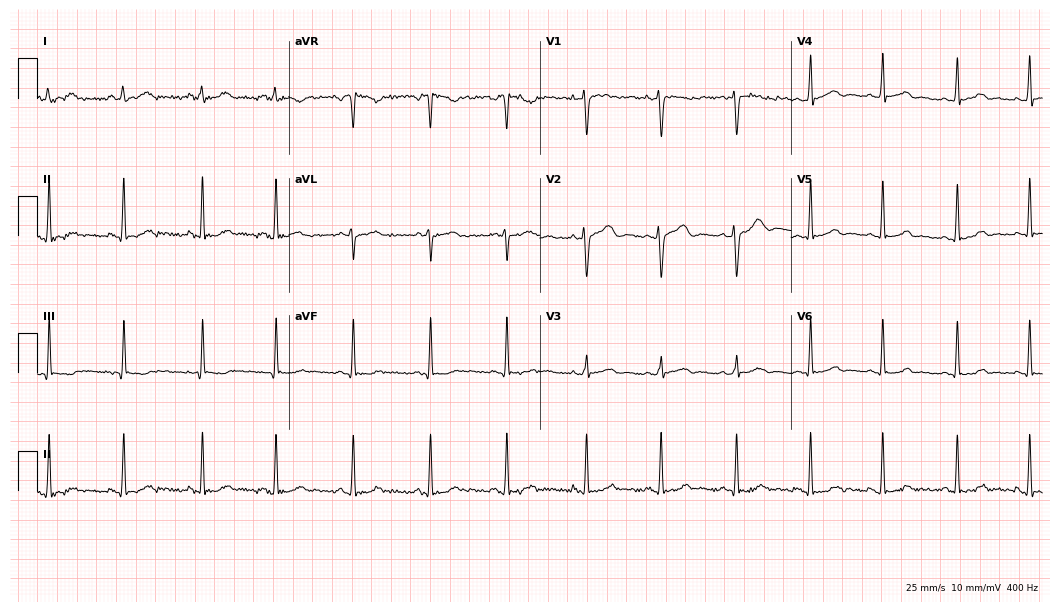
12-lead ECG (10.2-second recording at 400 Hz) from a woman, 24 years old. Labelled as a normal ECG.